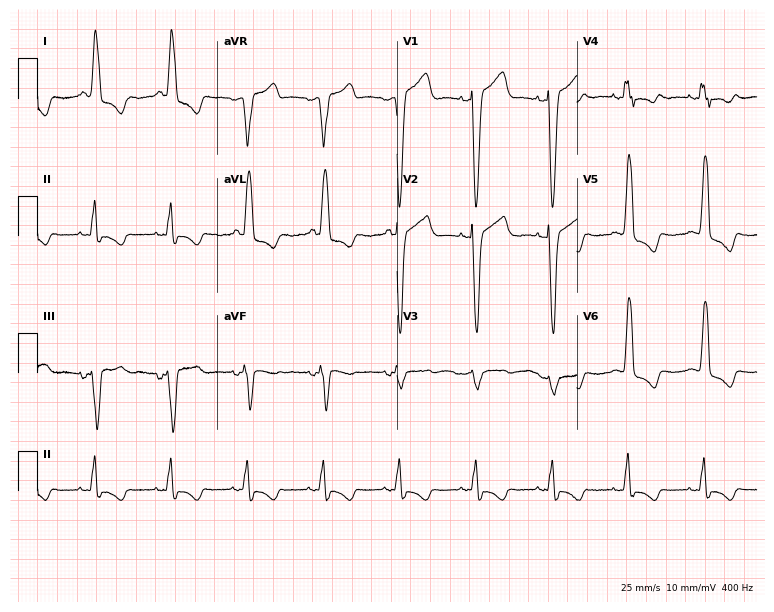
12-lead ECG from a 79-year-old female patient (7.3-second recording at 400 Hz). Shows left bundle branch block.